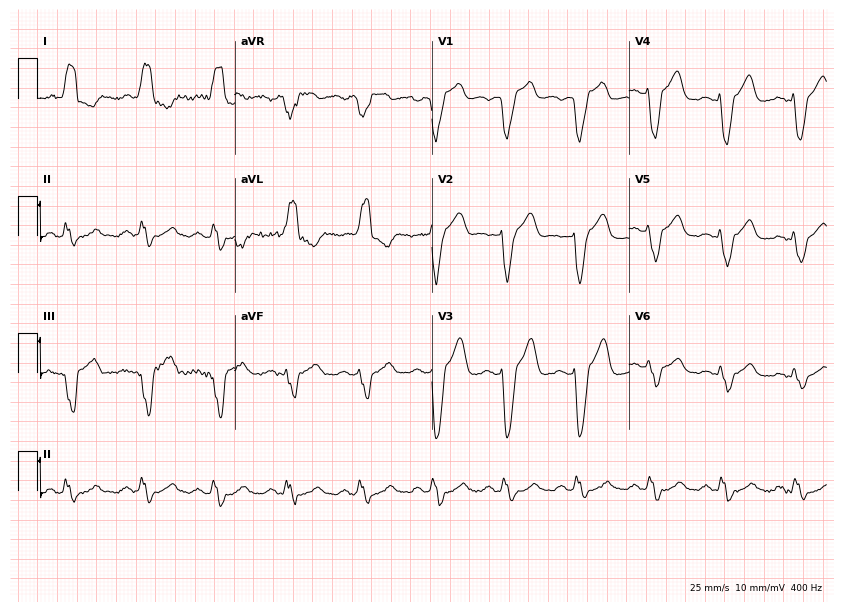
Resting 12-lead electrocardiogram. Patient: a 74-year-old woman. None of these six findings is recorded: first-degree AV block, right bundle branch block, left bundle branch block, sinus bradycardia, atrial fibrillation, sinus tachycardia. Only these six findings were labelled.